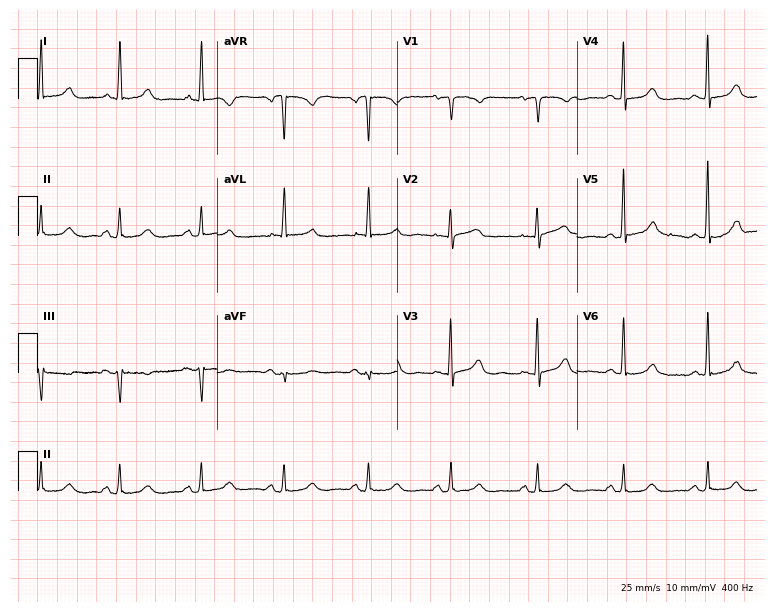
12-lead ECG from a 67-year-old female. Labelled as a normal ECG.